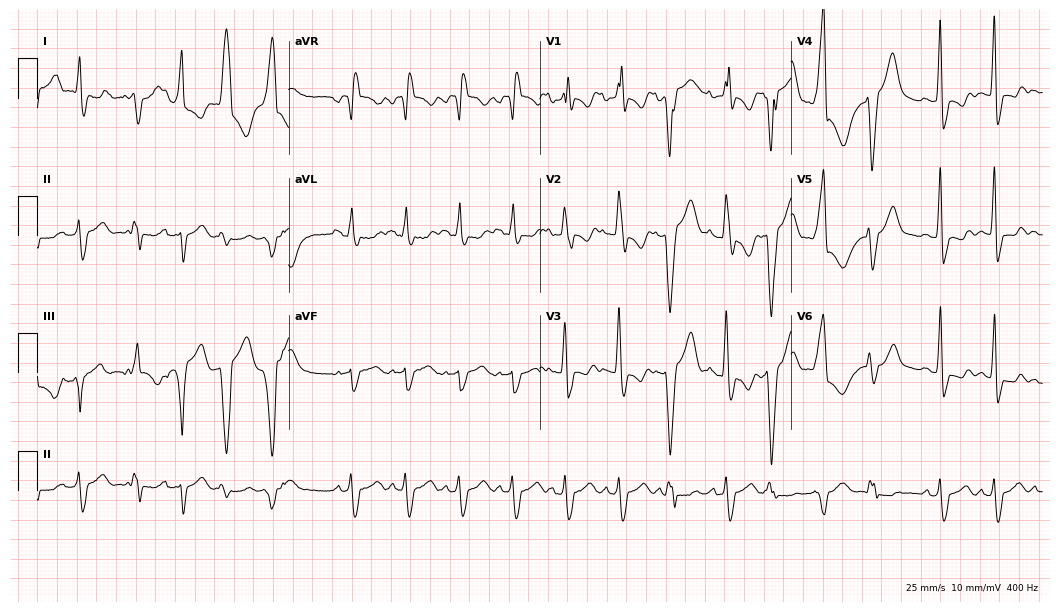
12-lead ECG from a female, 85 years old. Shows right bundle branch block.